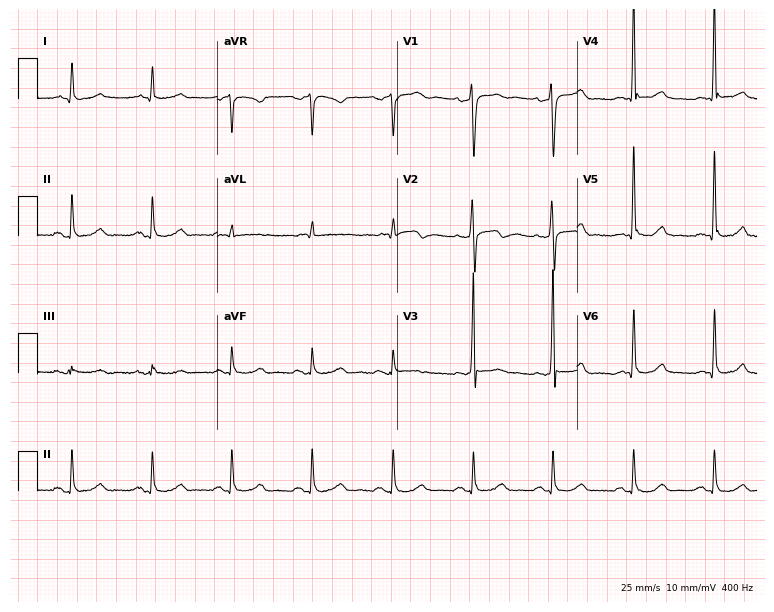
Resting 12-lead electrocardiogram. Patient: a male, 45 years old. Read as a normal ECG.